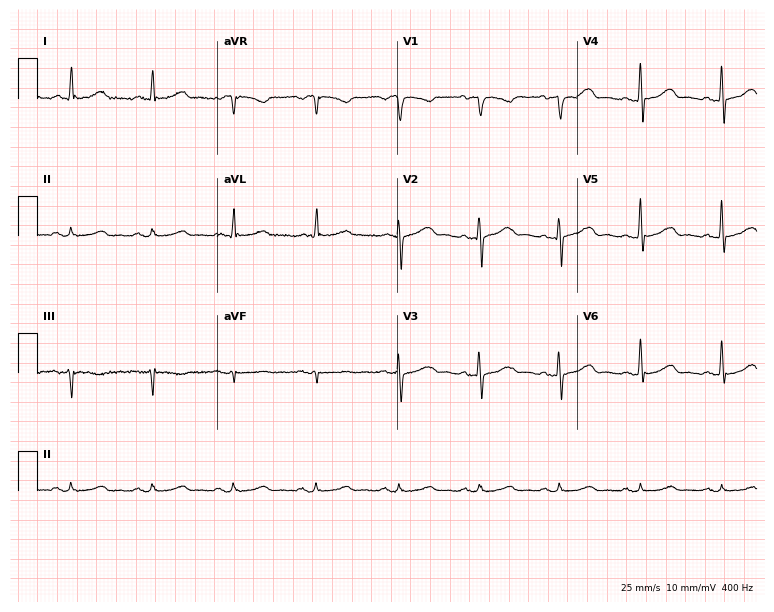
12-lead ECG (7.3-second recording at 400 Hz) from a 56-year-old female. Labelled as a normal ECG.